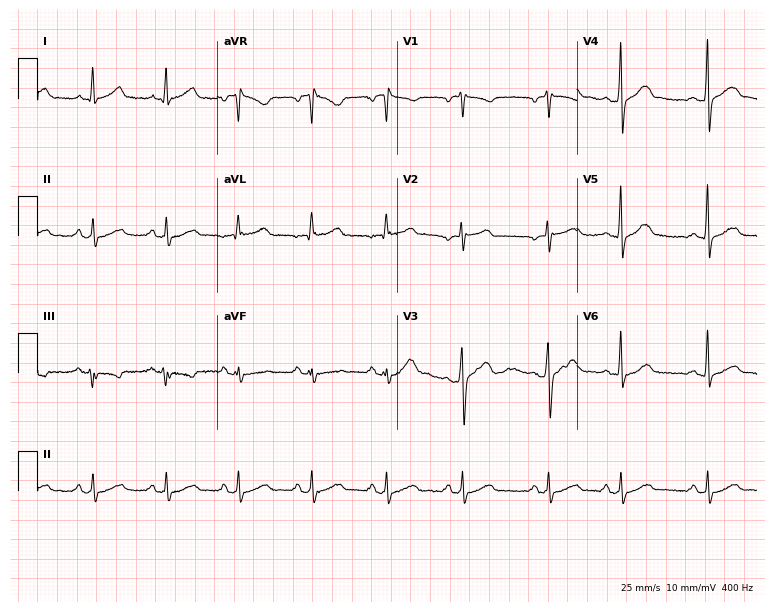
ECG (7.3-second recording at 400 Hz) — a 57-year-old male. Labelled as a normal ECG.